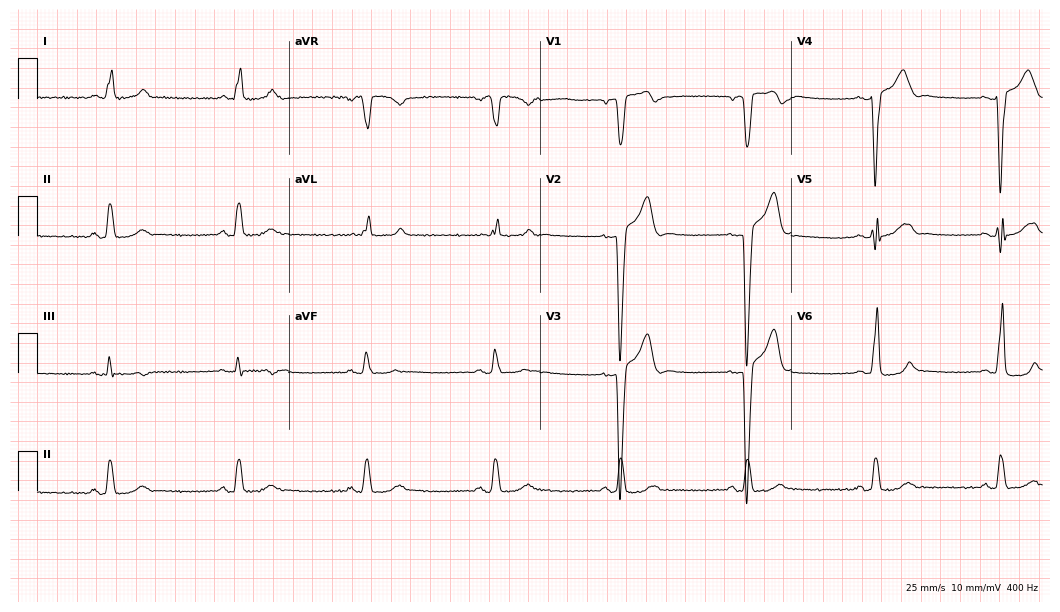
ECG — a male, 52 years old. Screened for six findings — first-degree AV block, right bundle branch block (RBBB), left bundle branch block (LBBB), sinus bradycardia, atrial fibrillation (AF), sinus tachycardia — none is recorded. Findings outside these six are not listed.